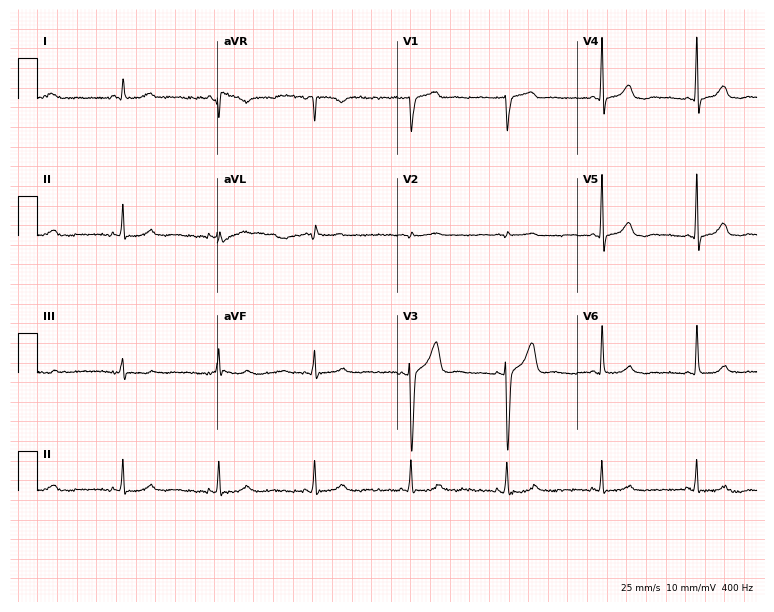
ECG (7.3-second recording at 400 Hz) — a 72-year-old male patient. Screened for six findings — first-degree AV block, right bundle branch block, left bundle branch block, sinus bradycardia, atrial fibrillation, sinus tachycardia — none is recorded. Other findings, if any, are not listed.